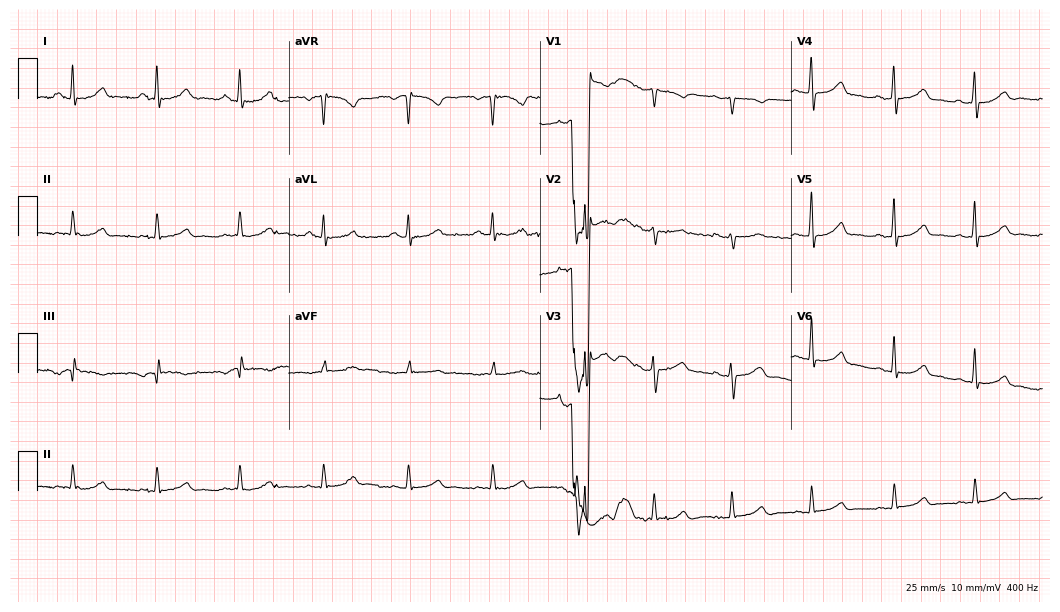
Resting 12-lead electrocardiogram (10.2-second recording at 400 Hz). Patient: a female, 28 years old. None of these six findings is recorded: first-degree AV block, right bundle branch block (RBBB), left bundle branch block (LBBB), sinus bradycardia, atrial fibrillation (AF), sinus tachycardia. Findings outside these six are not listed.